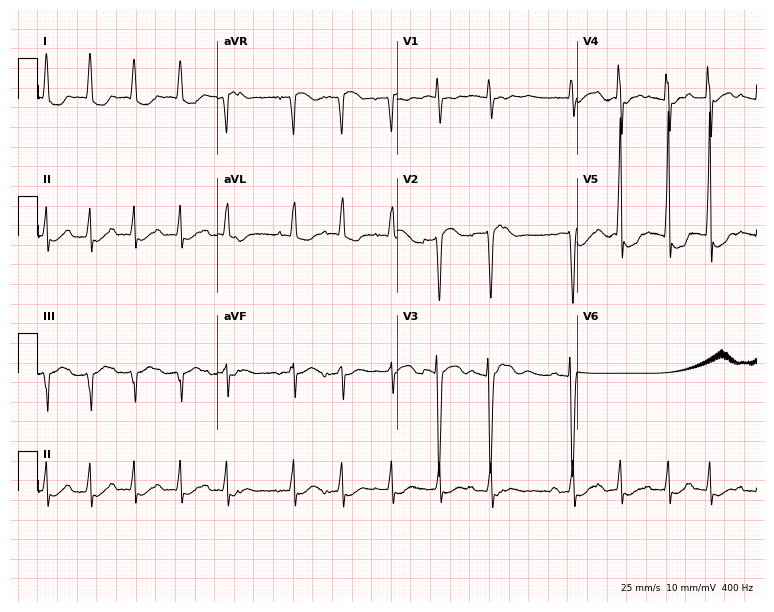
Resting 12-lead electrocardiogram (7.3-second recording at 400 Hz). Patient: a female, 74 years old. The tracing shows atrial fibrillation, sinus tachycardia (a sinus rate of 100 beats per minute or more).